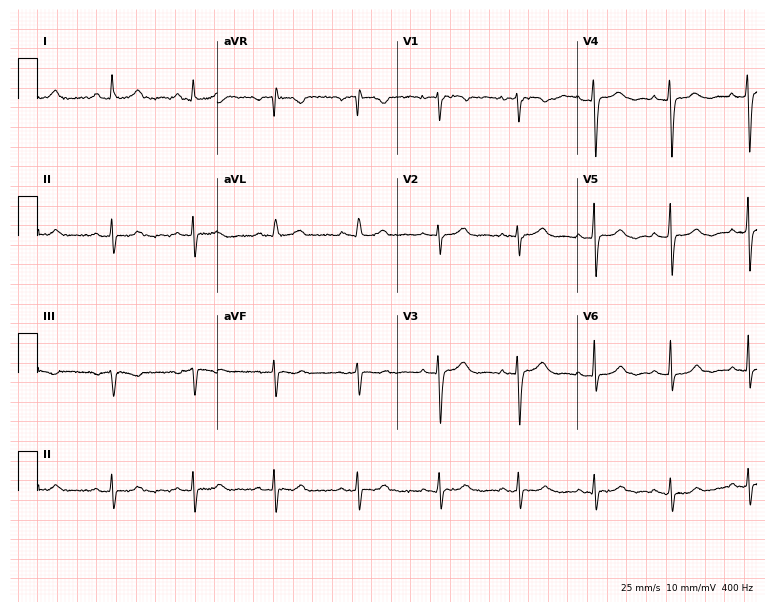
12-lead ECG from a female, 53 years old. Screened for six findings — first-degree AV block, right bundle branch block, left bundle branch block, sinus bradycardia, atrial fibrillation, sinus tachycardia — none is recorded.